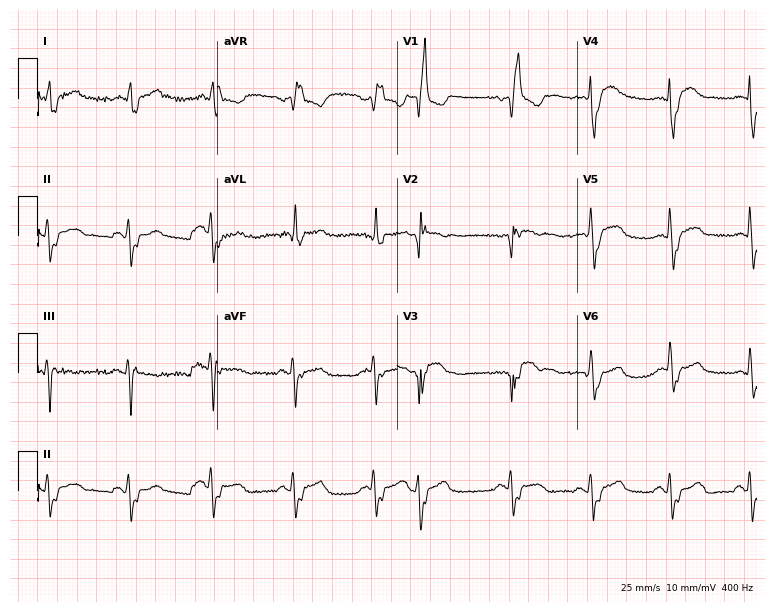
Resting 12-lead electrocardiogram. Patient: a 79-year-old male. The tracing shows right bundle branch block.